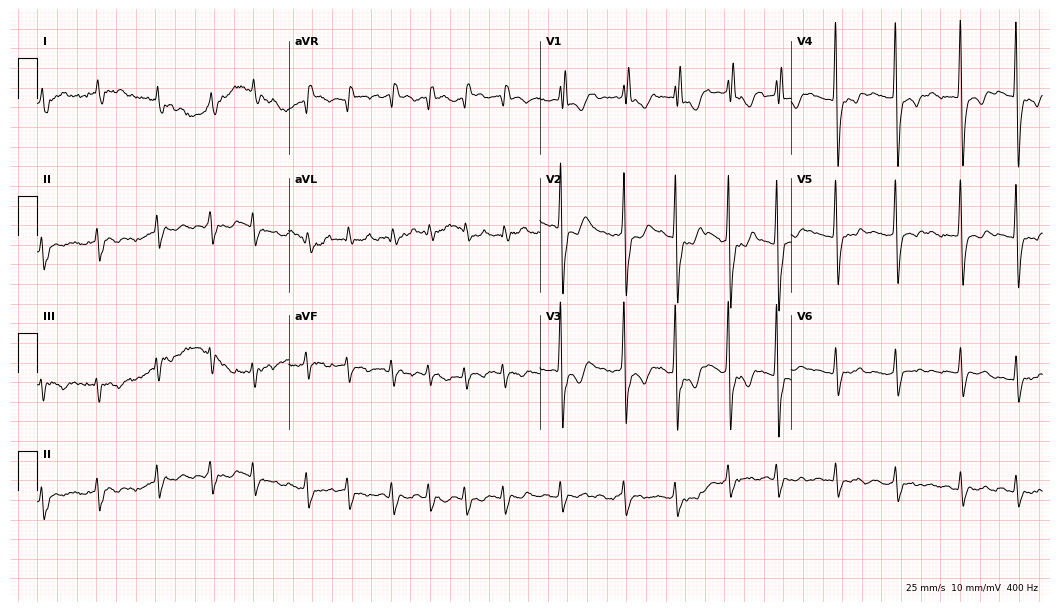
12-lead ECG from a woman, 80 years old. Findings include atrial fibrillation, sinus tachycardia (a sinus rate of 100 beats per minute or more).